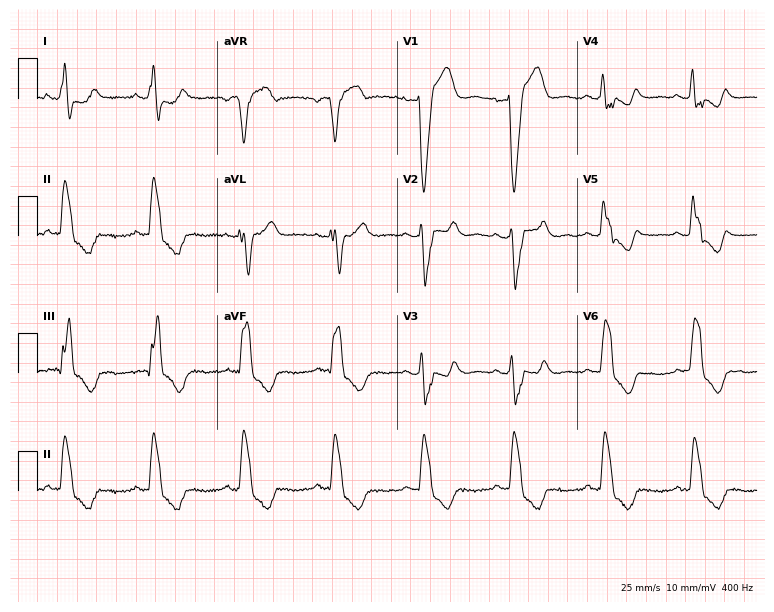
Resting 12-lead electrocardiogram. Patient: a woman, 81 years old. The tracing shows left bundle branch block.